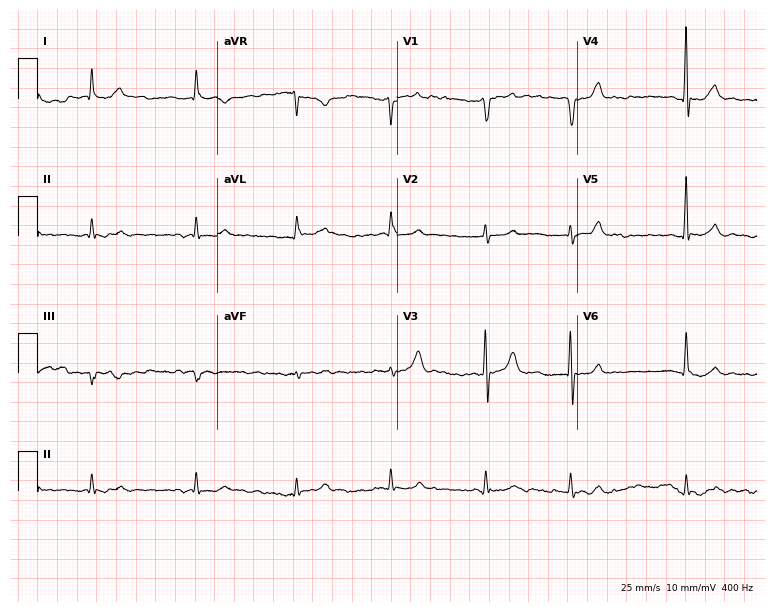
Resting 12-lead electrocardiogram (7.3-second recording at 400 Hz). Patient: a 64-year-old male. The tracing shows atrial fibrillation.